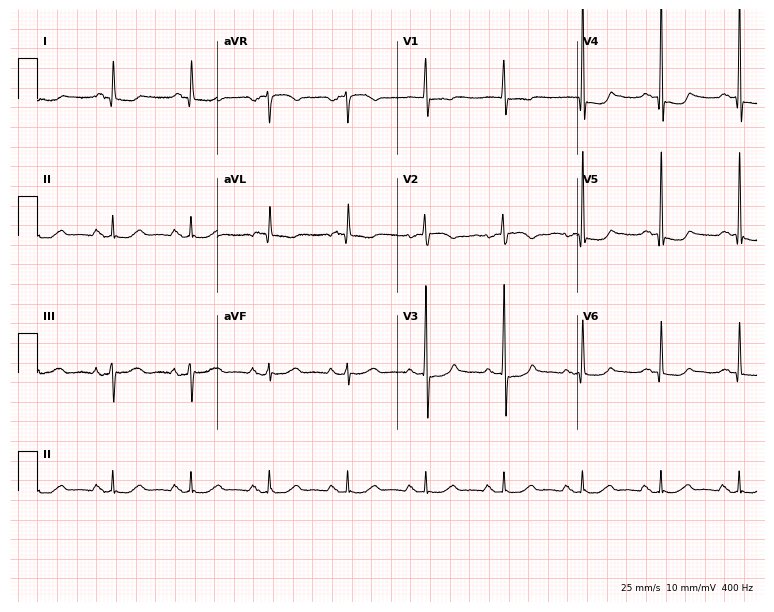
12-lead ECG from a 77-year-old female. Screened for six findings — first-degree AV block, right bundle branch block, left bundle branch block, sinus bradycardia, atrial fibrillation, sinus tachycardia — none is recorded.